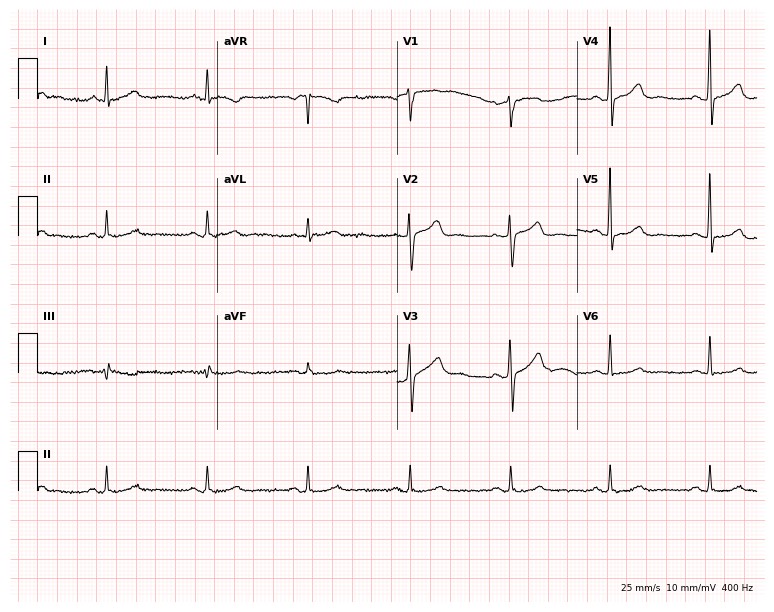
Standard 12-lead ECG recorded from a 65-year-old man. None of these six findings is recorded: first-degree AV block, right bundle branch block, left bundle branch block, sinus bradycardia, atrial fibrillation, sinus tachycardia. Findings outside these six are not listed.